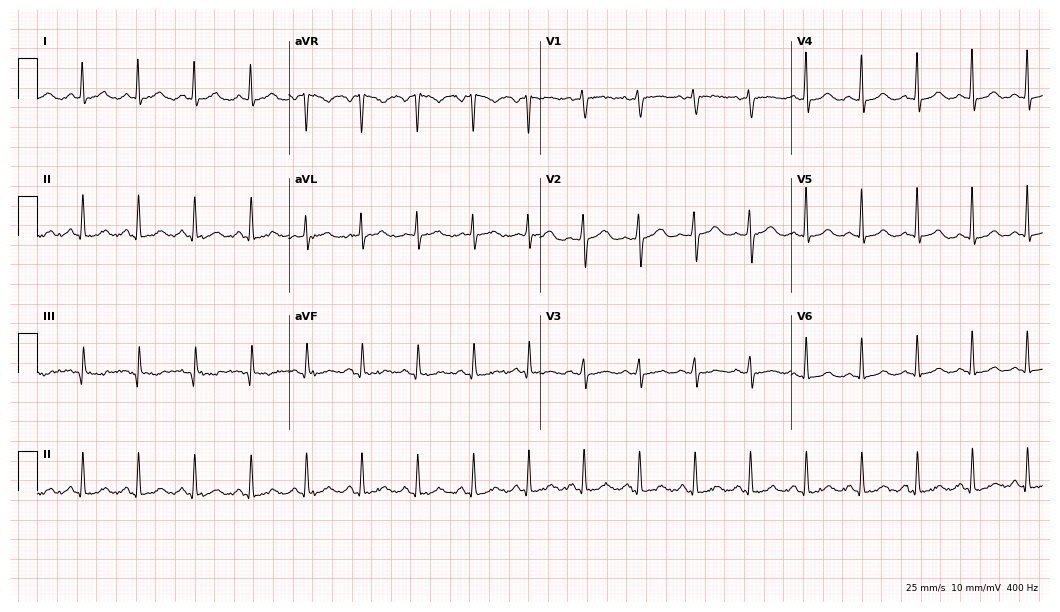
Resting 12-lead electrocardiogram (10.2-second recording at 400 Hz). Patient: a 40-year-old female. The tracing shows sinus tachycardia (a sinus rate of 100 beats per minute or more).